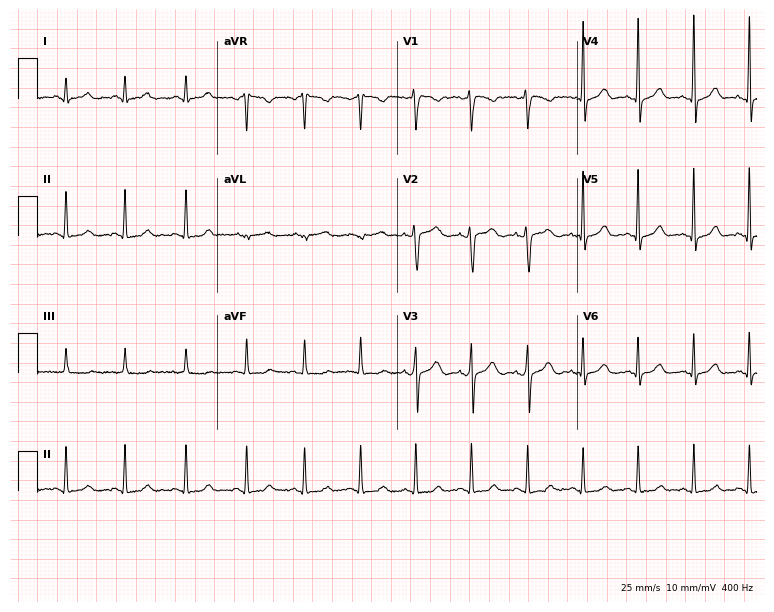
ECG (7.3-second recording at 400 Hz) — a female, 33 years old. Findings include sinus tachycardia (a sinus rate of 100 beats per minute or more).